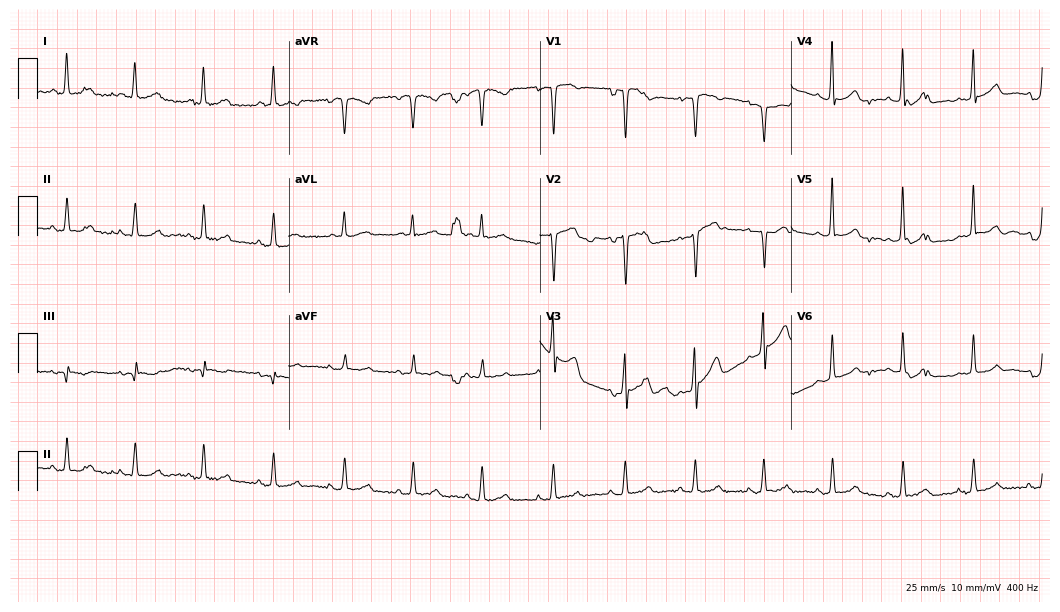
Standard 12-lead ECG recorded from a female, 80 years old. Read as a normal ECG.